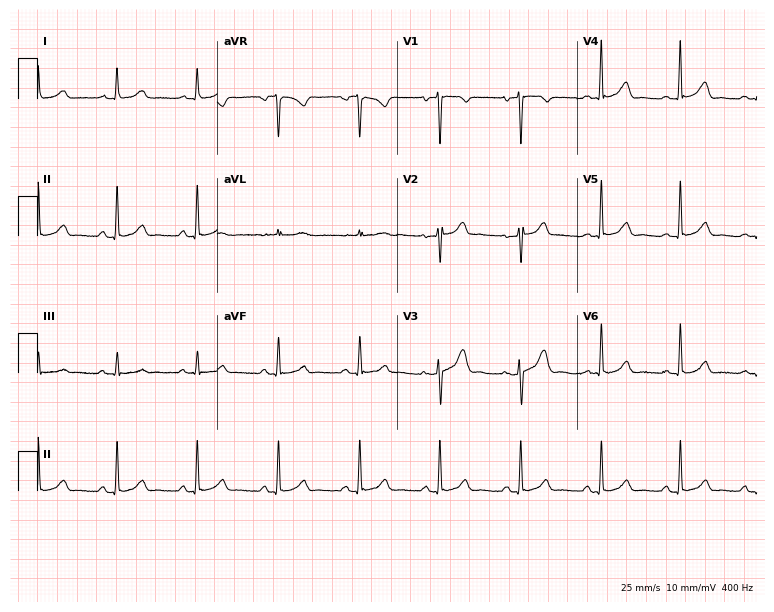
12-lead ECG from a 29-year-old female patient. Recorded interpretation: within normal limits.